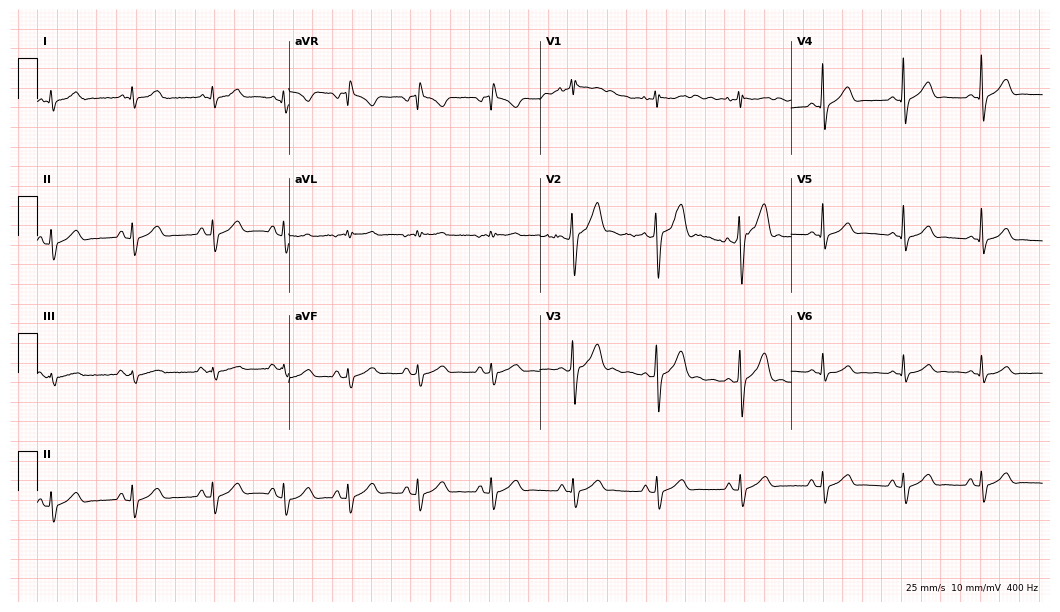
Resting 12-lead electrocardiogram. Patient: a man, 36 years old. None of these six findings is recorded: first-degree AV block, right bundle branch block, left bundle branch block, sinus bradycardia, atrial fibrillation, sinus tachycardia.